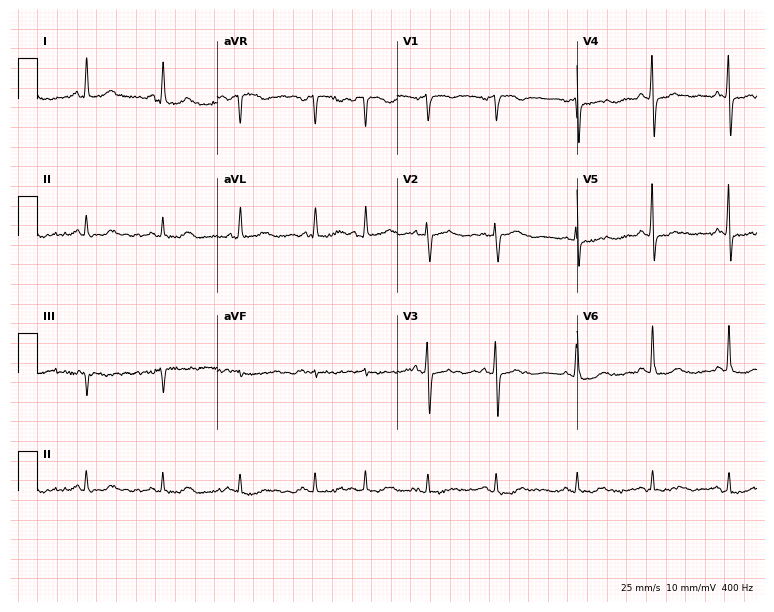
12-lead ECG from a female, 76 years old. Recorded interpretation: within normal limits.